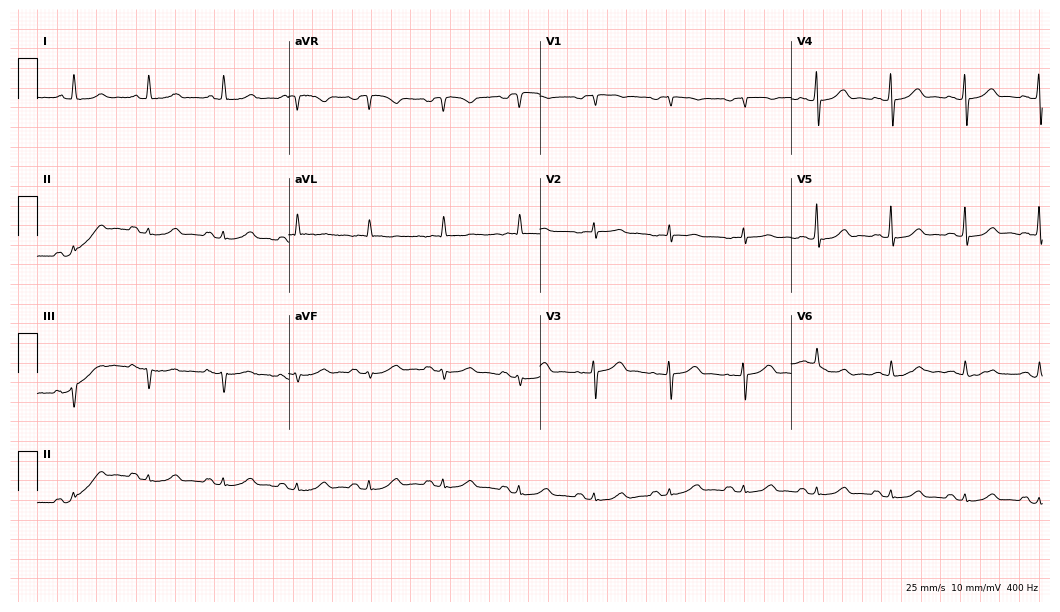
ECG (10.2-second recording at 400 Hz) — a female, 83 years old. Labelled as a normal ECG.